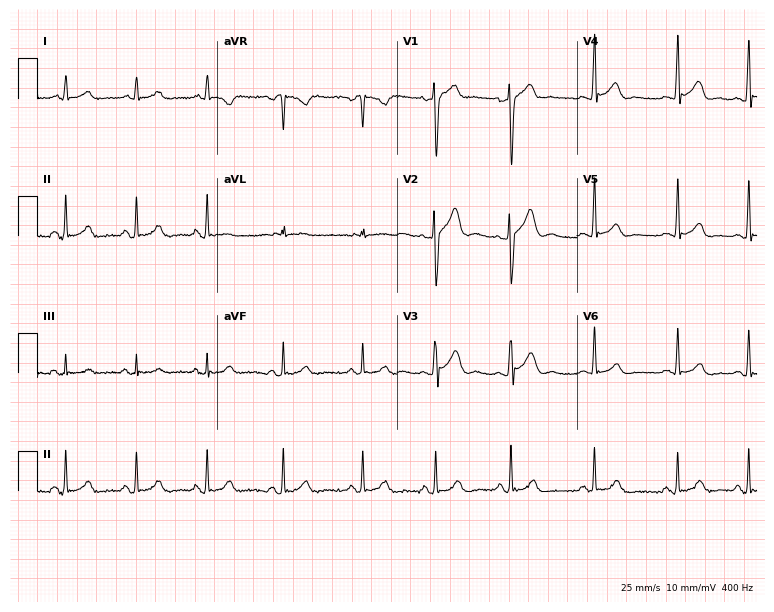
Standard 12-lead ECG recorded from a man, 20 years old. Read as a normal ECG.